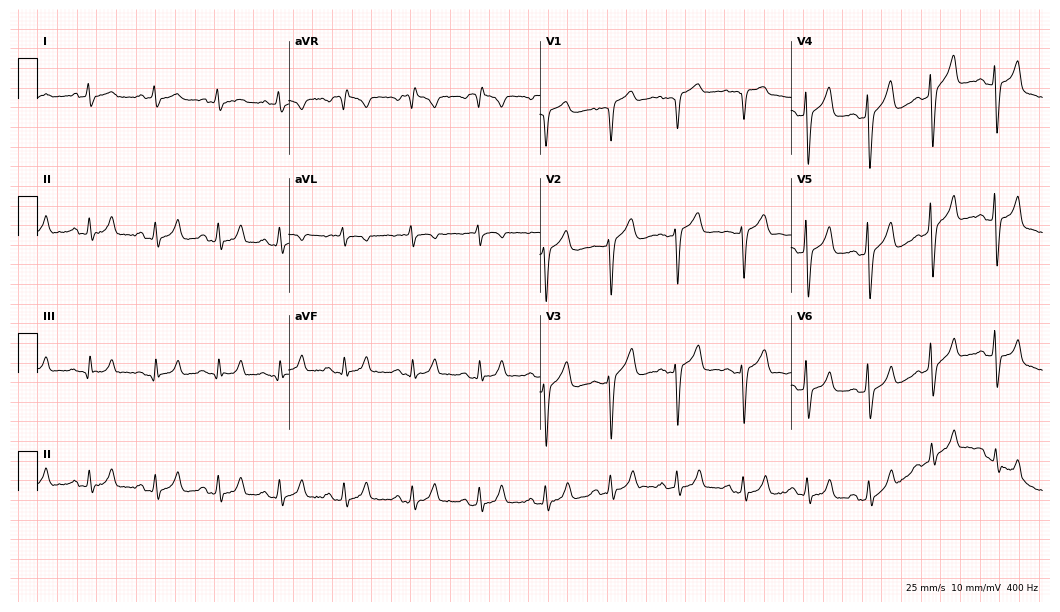
ECG — a 50-year-old female patient. Screened for six findings — first-degree AV block, right bundle branch block (RBBB), left bundle branch block (LBBB), sinus bradycardia, atrial fibrillation (AF), sinus tachycardia — none is recorded. Other findings, if any, are not listed.